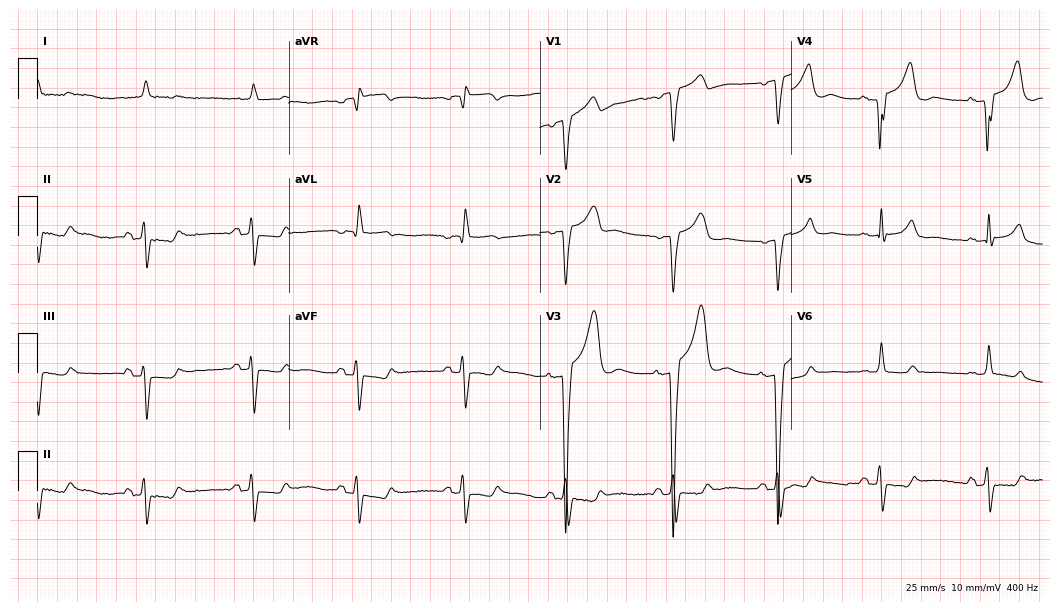
Resting 12-lead electrocardiogram (10.2-second recording at 400 Hz). Patient: a 77-year-old male. None of these six findings is recorded: first-degree AV block, right bundle branch block, left bundle branch block, sinus bradycardia, atrial fibrillation, sinus tachycardia. Findings outside these six are not listed.